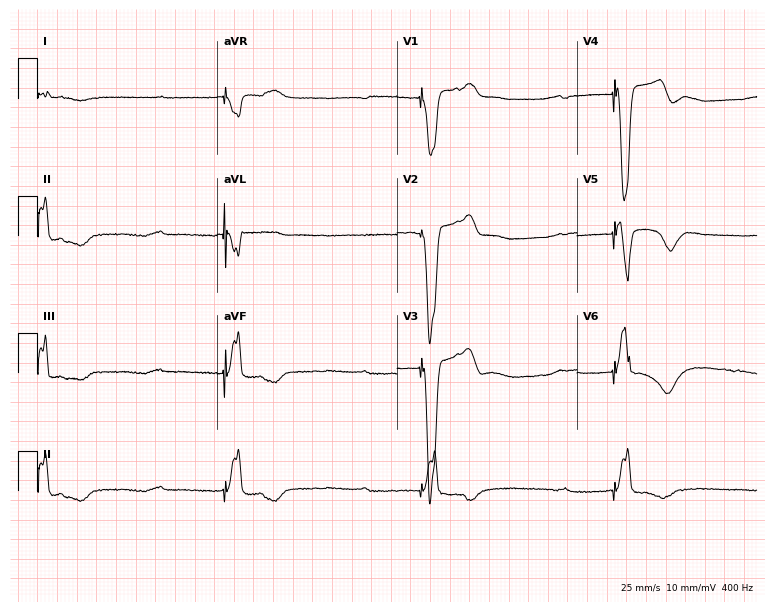
Electrocardiogram, a male, 57 years old. Of the six screened findings (first-degree AV block, right bundle branch block, left bundle branch block, sinus bradycardia, atrial fibrillation, sinus tachycardia), none is recorded.